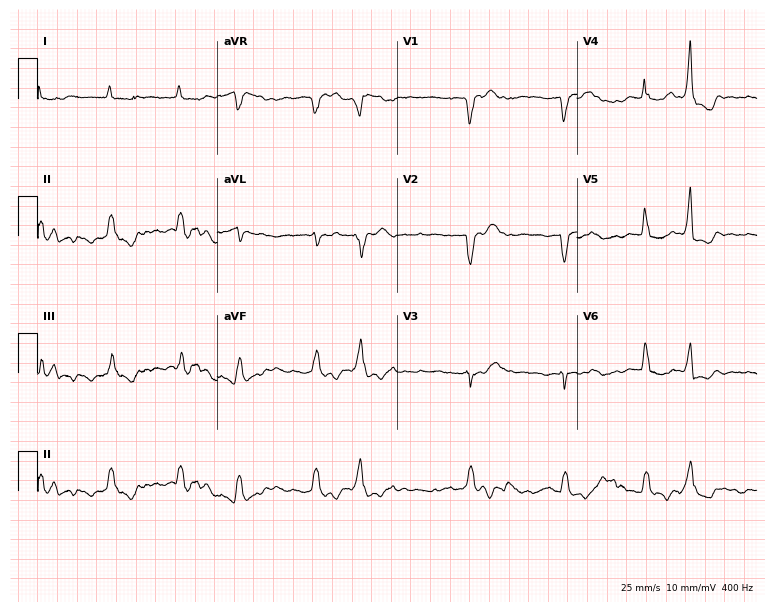
12-lead ECG from a man, 74 years old. No first-degree AV block, right bundle branch block (RBBB), left bundle branch block (LBBB), sinus bradycardia, atrial fibrillation (AF) or sinus tachycardia recorded for this tracing. Other findings, if any, are not listed.